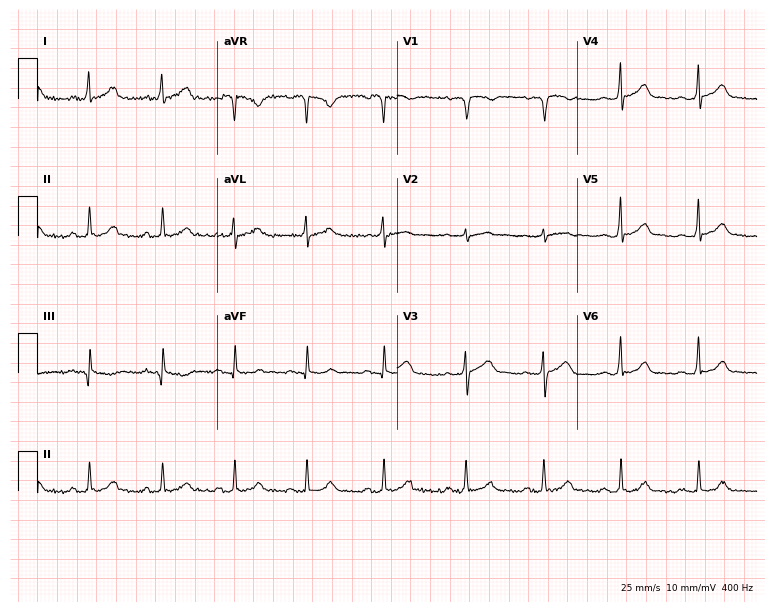
Resting 12-lead electrocardiogram (7.3-second recording at 400 Hz). Patient: a 43-year-old male. Read as a normal ECG.